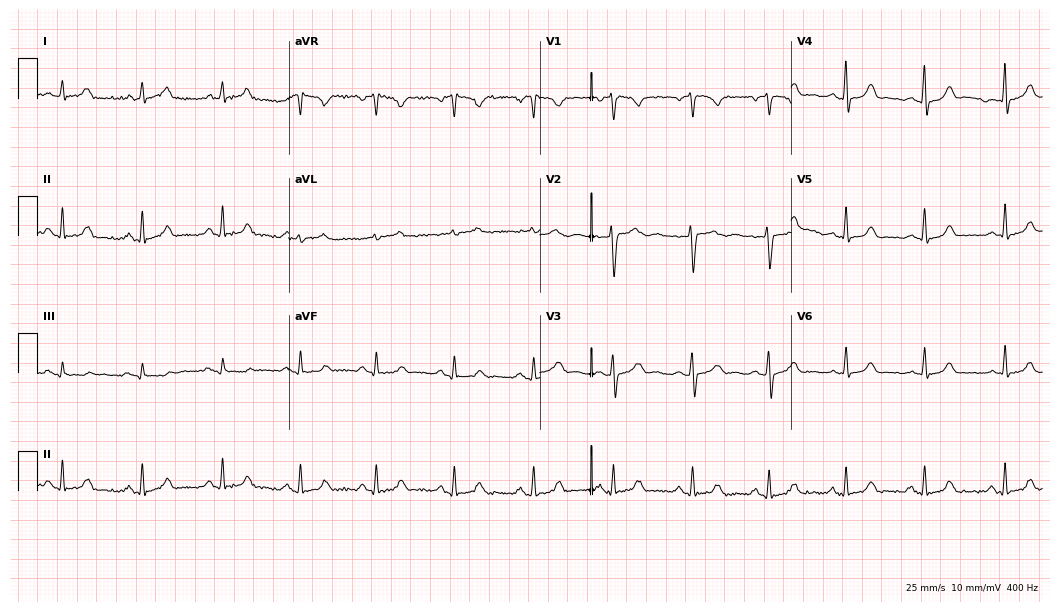
ECG (10.2-second recording at 400 Hz) — a female patient, 39 years old. Labelled as a normal ECG.